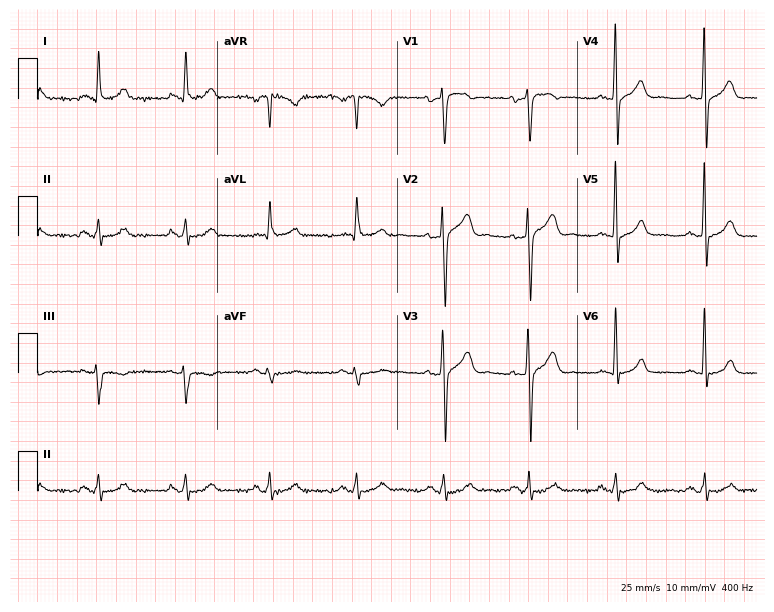
Electrocardiogram, a 63-year-old male. Of the six screened findings (first-degree AV block, right bundle branch block (RBBB), left bundle branch block (LBBB), sinus bradycardia, atrial fibrillation (AF), sinus tachycardia), none is recorded. Findings outside these six are not listed.